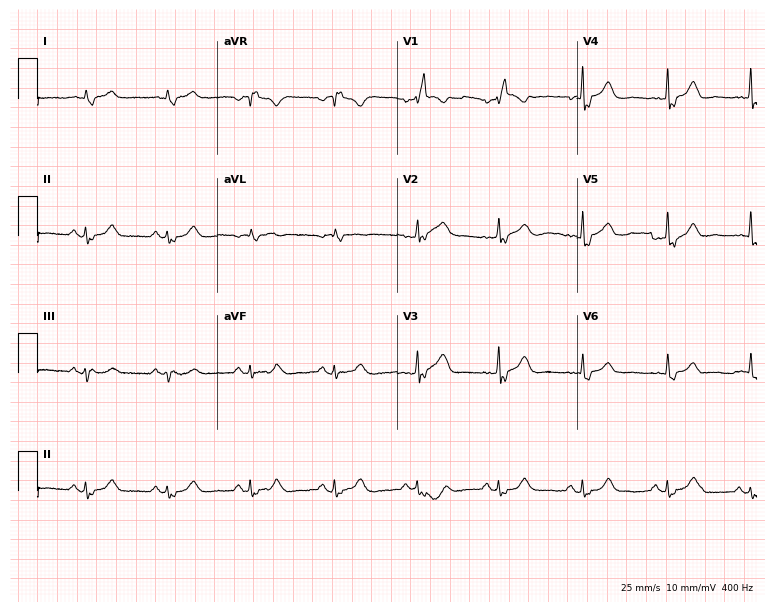
Electrocardiogram (7.3-second recording at 400 Hz), an 83-year-old male. Interpretation includes right bundle branch block.